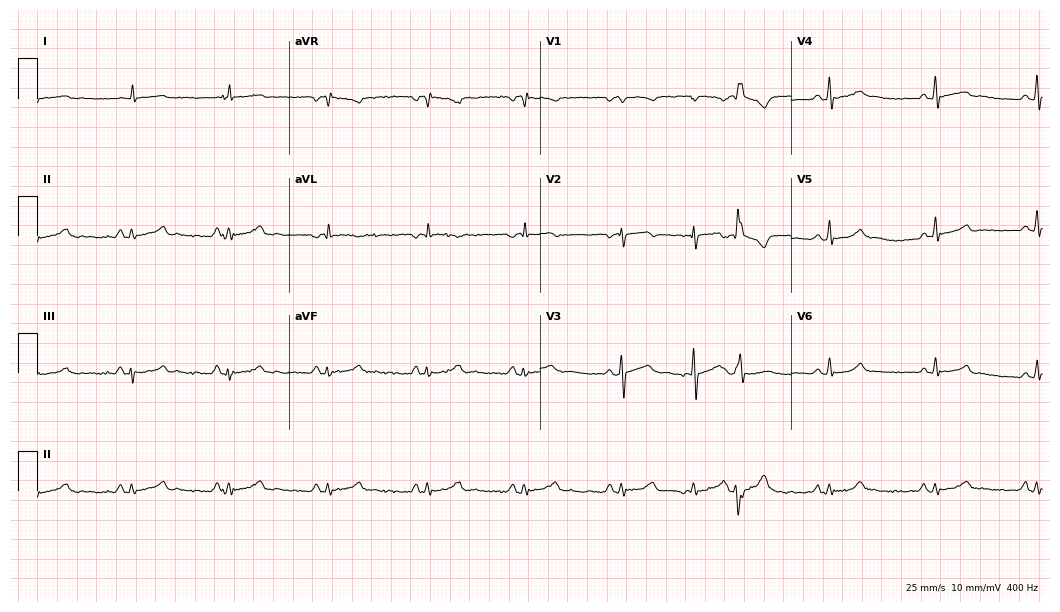
12-lead ECG (10.2-second recording at 400 Hz) from a man, 80 years old. Screened for six findings — first-degree AV block, right bundle branch block, left bundle branch block, sinus bradycardia, atrial fibrillation, sinus tachycardia — none is recorded. Only these six findings were labelled.